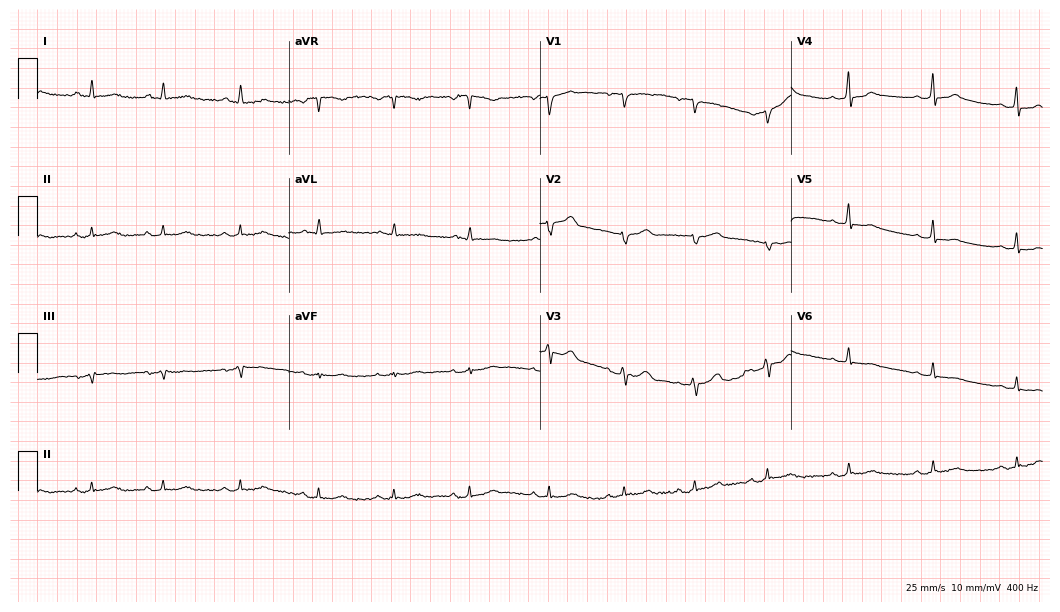
12-lead ECG from a 37-year-old female patient (10.2-second recording at 400 Hz). No first-degree AV block, right bundle branch block, left bundle branch block, sinus bradycardia, atrial fibrillation or sinus tachycardia recorded for this tracing.